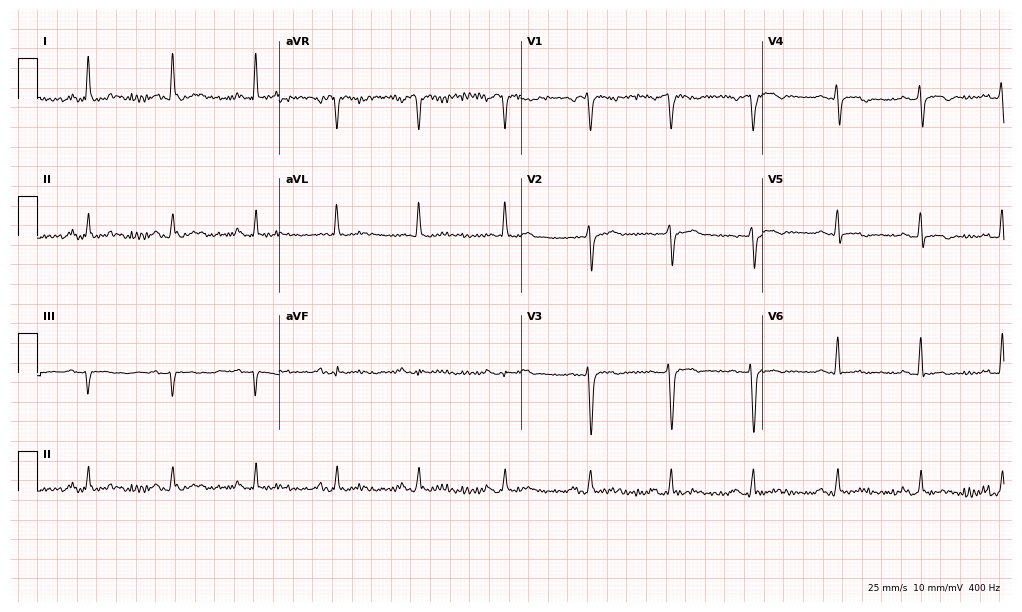
Electrocardiogram, a female patient, 46 years old. Of the six screened findings (first-degree AV block, right bundle branch block, left bundle branch block, sinus bradycardia, atrial fibrillation, sinus tachycardia), none is recorded. Other findings, if any, are not listed.